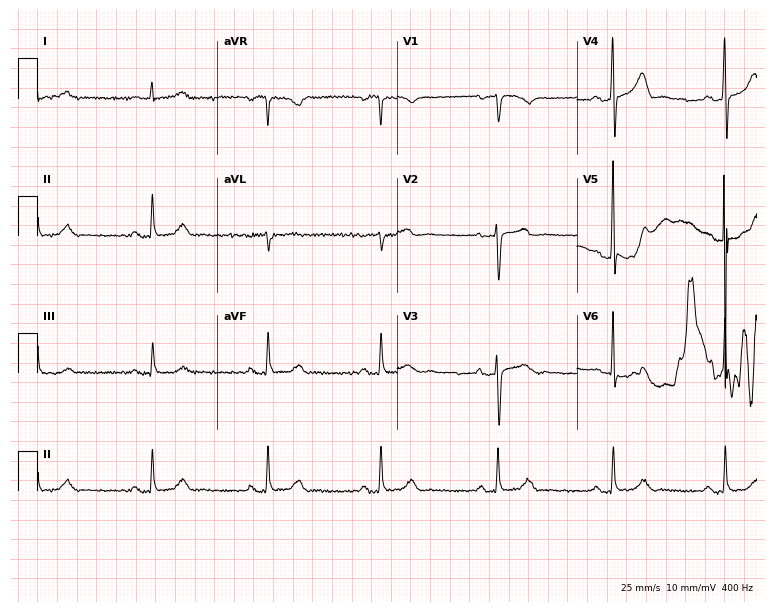
Electrocardiogram, a 59-year-old female patient. Overall reading on record: normal ECG.